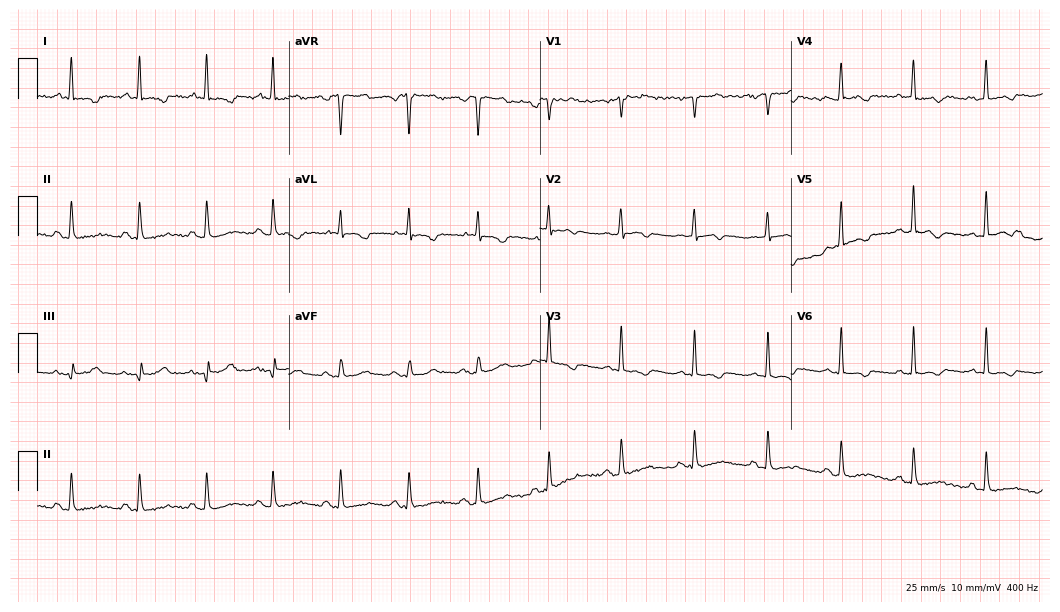
Electrocardiogram, a man, 48 years old. Of the six screened findings (first-degree AV block, right bundle branch block, left bundle branch block, sinus bradycardia, atrial fibrillation, sinus tachycardia), none is recorded.